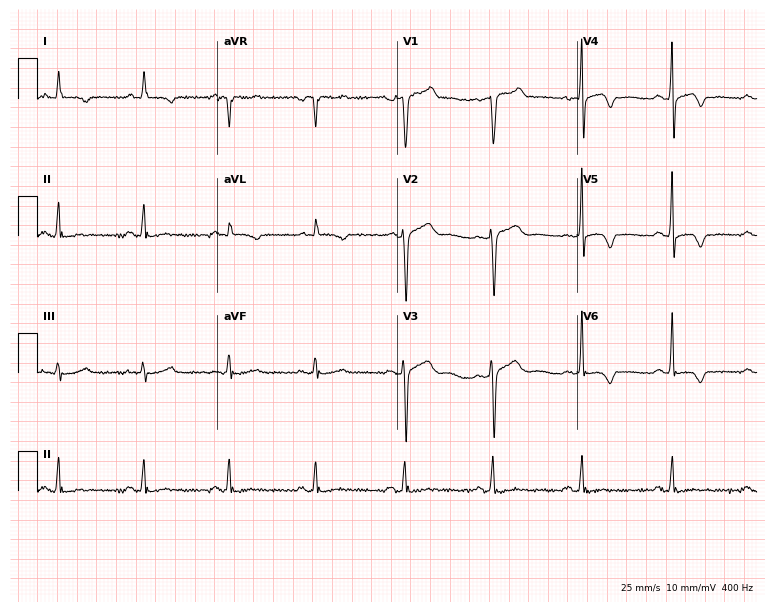
ECG (7.3-second recording at 400 Hz) — a female, 60 years old. Screened for six findings — first-degree AV block, right bundle branch block, left bundle branch block, sinus bradycardia, atrial fibrillation, sinus tachycardia — none is recorded.